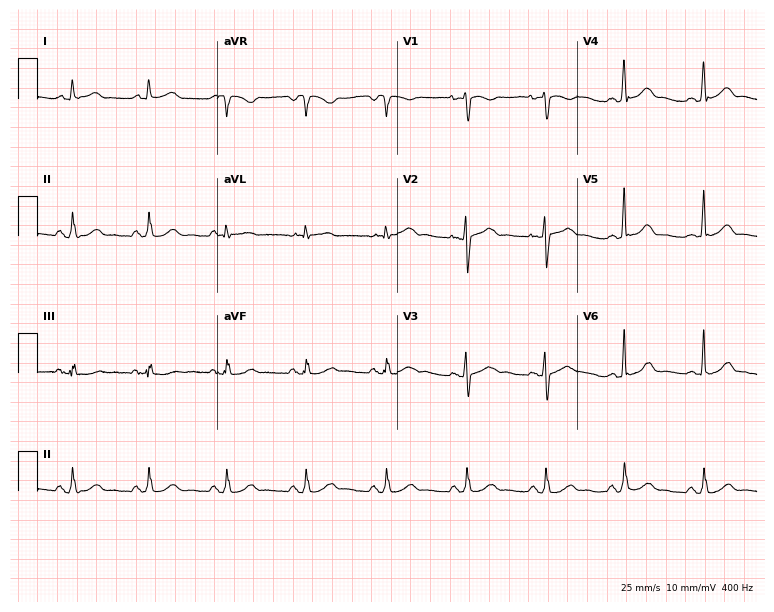
12-lead ECG from a 51-year-old woman. Recorded interpretation: within normal limits.